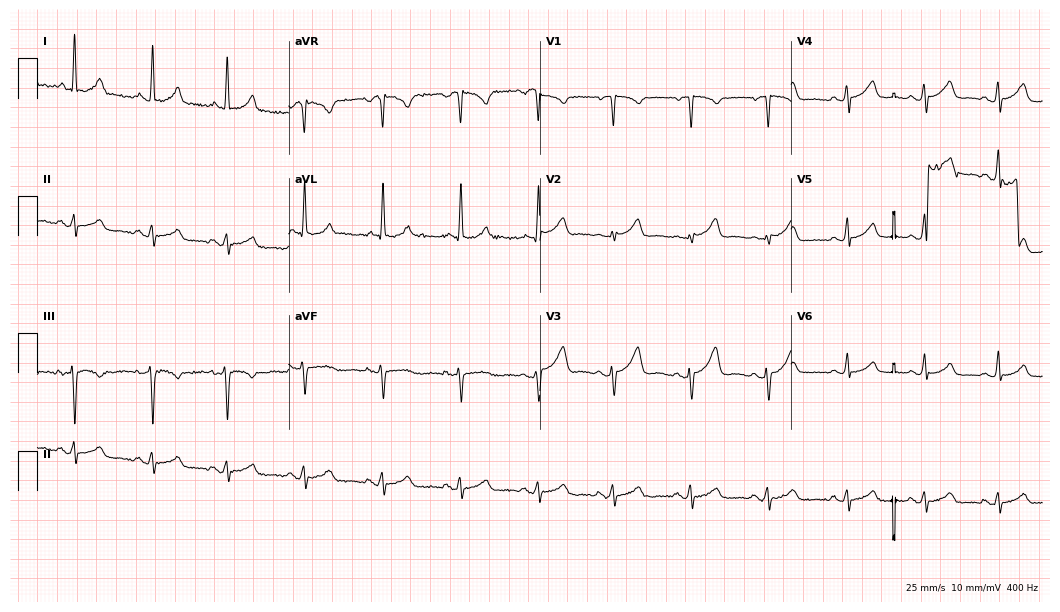
12-lead ECG from a 43-year-old female (10.2-second recording at 400 Hz). Recorded interpretation: within normal limits.